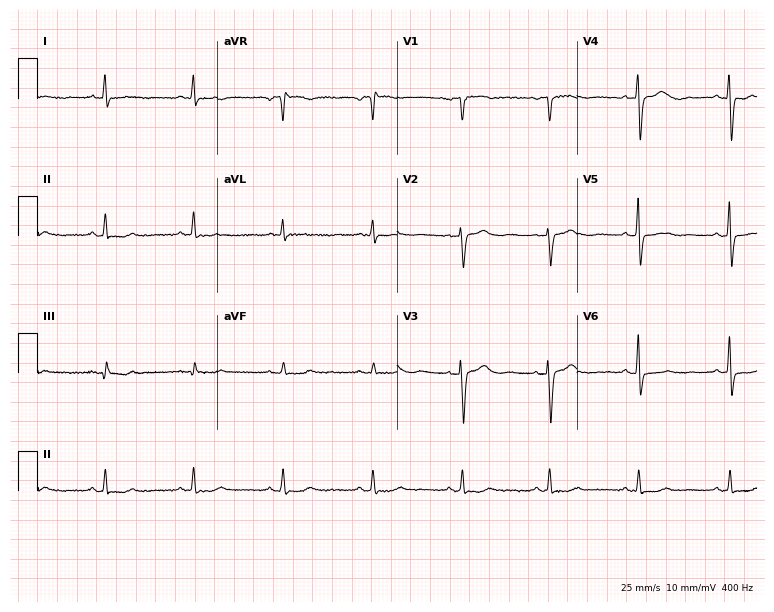
Electrocardiogram (7.3-second recording at 400 Hz), a 78-year-old woman. Overall reading on record: normal ECG.